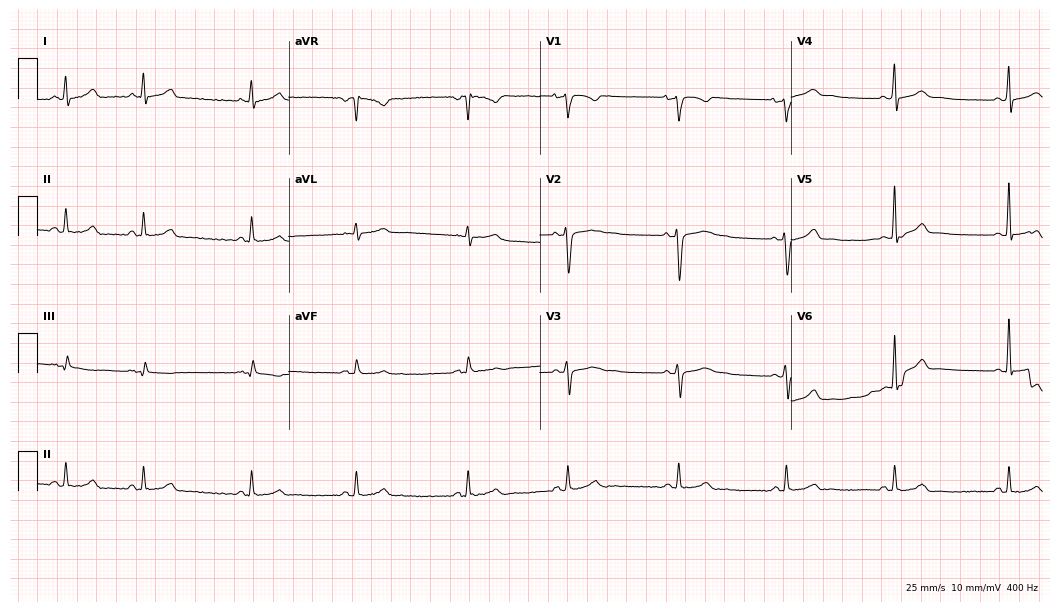
Standard 12-lead ECG recorded from a woman, 26 years old (10.2-second recording at 400 Hz). Read as a normal ECG.